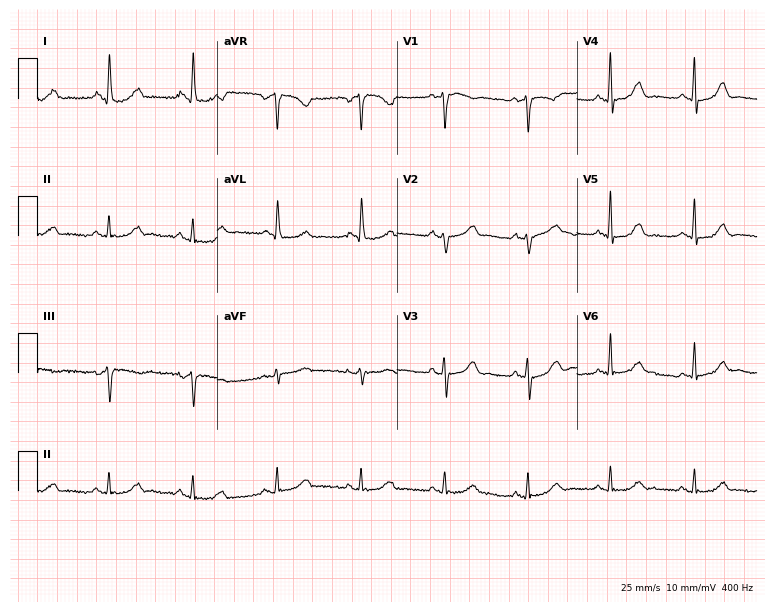
ECG (7.3-second recording at 400 Hz) — a 67-year-old woman. Labelled as a normal ECG.